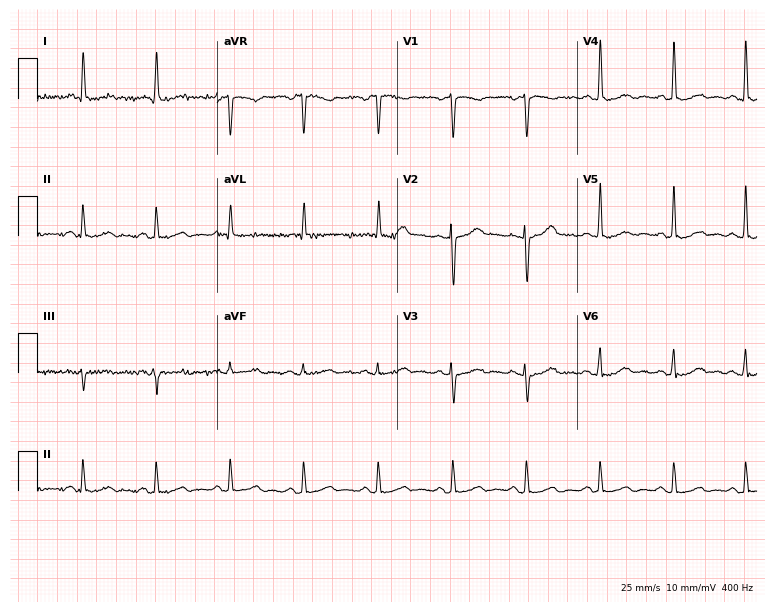
Resting 12-lead electrocardiogram (7.3-second recording at 400 Hz). Patient: a male, 59 years old. None of these six findings is recorded: first-degree AV block, right bundle branch block (RBBB), left bundle branch block (LBBB), sinus bradycardia, atrial fibrillation (AF), sinus tachycardia.